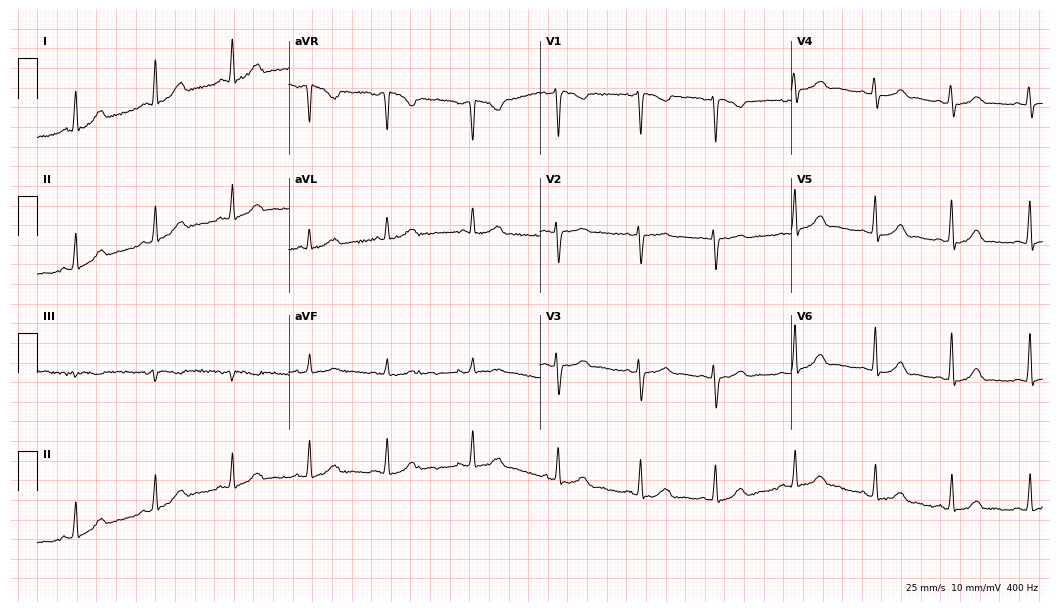
Resting 12-lead electrocardiogram (10.2-second recording at 400 Hz). Patient: a 34-year-old woman. Read as a normal ECG.